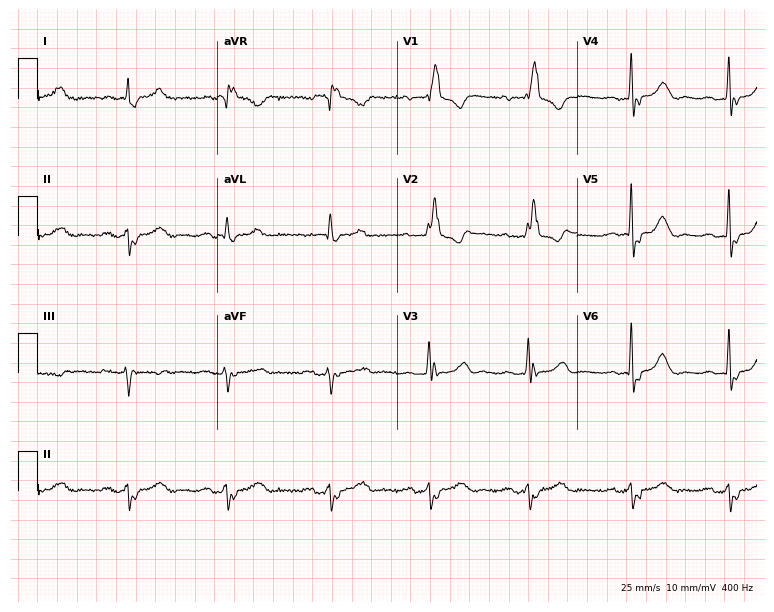
12-lead ECG (7.3-second recording at 400 Hz) from an 83-year-old female patient. Findings include first-degree AV block, right bundle branch block (RBBB).